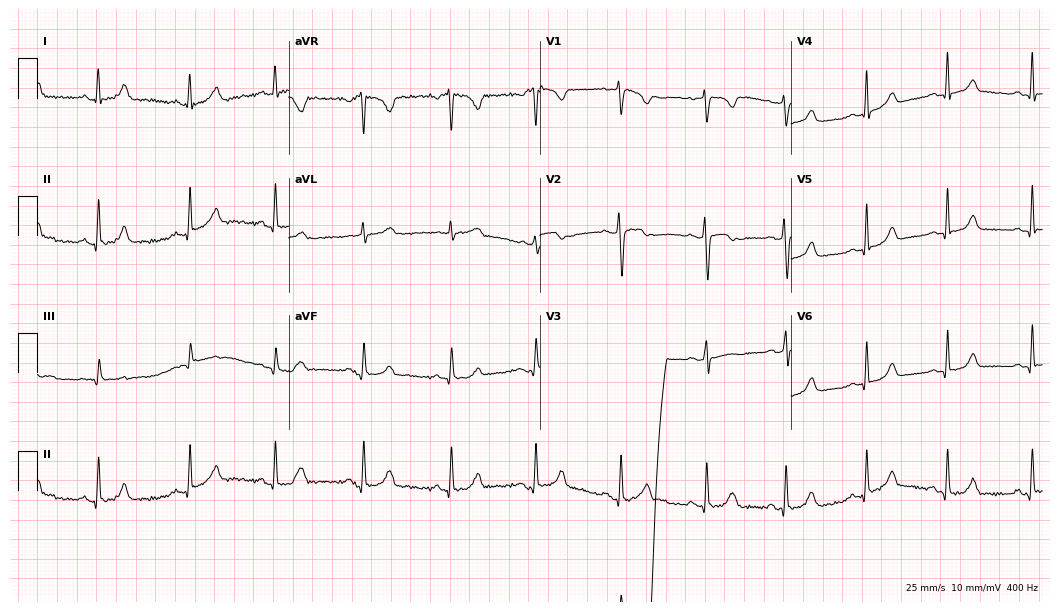
12-lead ECG (10.2-second recording at 400 Hz) from a female patient, 28 years old. Screened for six findings — first-degree AV block, right bundle branch block, left bundle branch block, sinus bradycardia, atrial fibrillation, sinus tachycardia — none is recorded. Other findings, if any, are not listed.